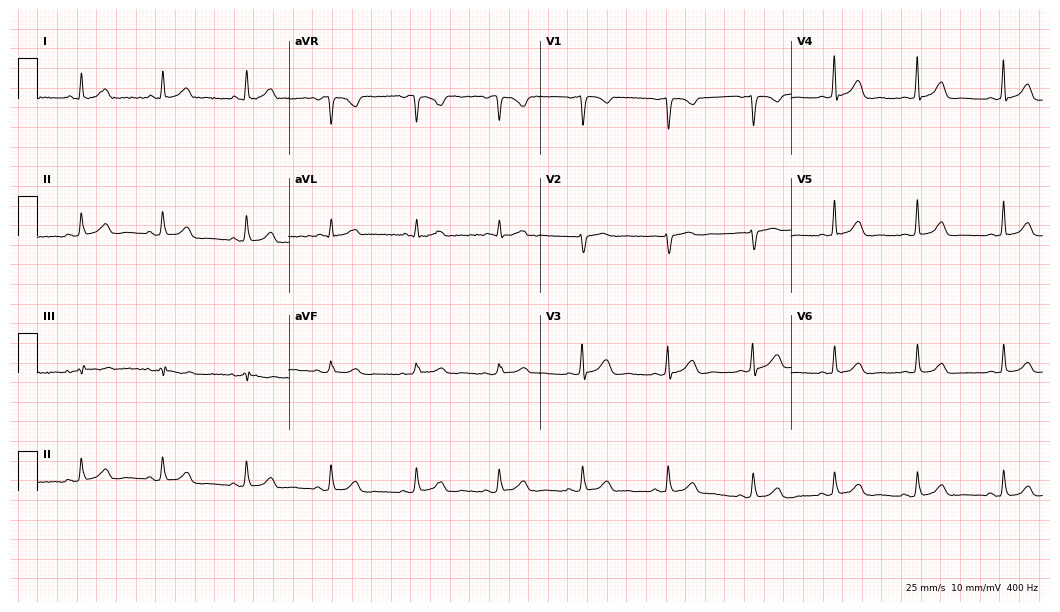
Electrocardiogram (10.2-second recording at 400 Hz), a female patient, 48 years old. Overall reading on record: normal ECG.